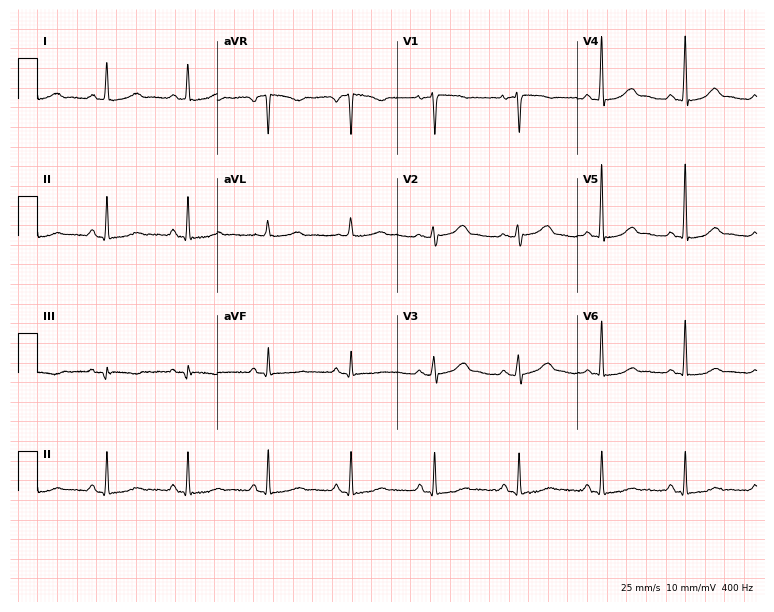
Electrocardiogram (7.3-second recording at 400 Hz), a female patient, 74 years old. Of the six screened findings (first-degree AV block, right bundle branch block, left bundle branch block, sinus bradycardia, atrial fibrillation, sinus tachycardia), none is recorded. Other findings, if any, are not listed.